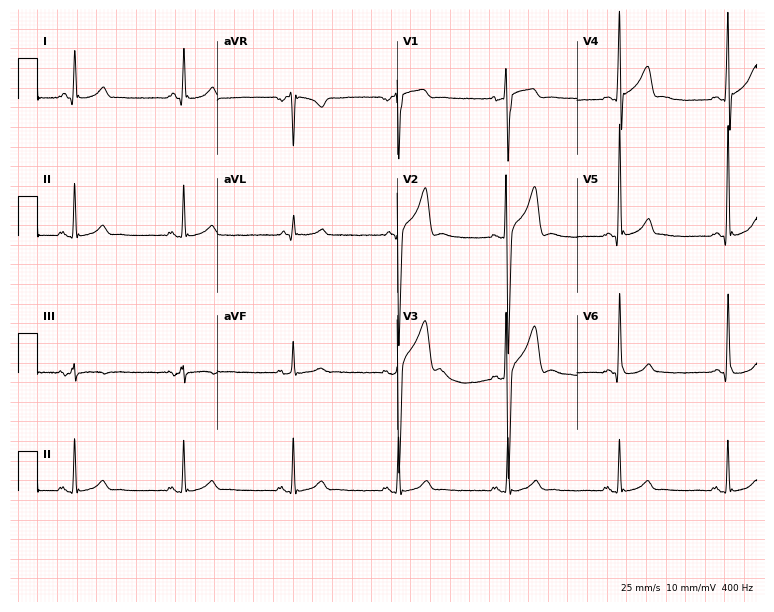
ECG — a 37-year-old man. Screened for six findings — first-degree AV block, right bundle branch block (RBBB), left bundle branch block (LBBB), sinus bradycardia, atrial fibrillation (AF), sinus tachycardia — none is recorded. Only these six findings were labelled.